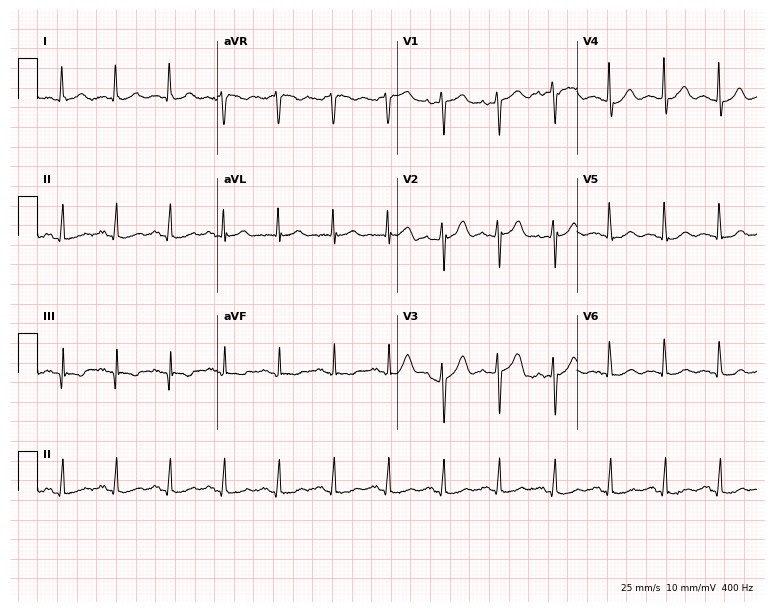
Resting 12-lead electrocardiogram. Patient: a male, 51 years old. The tracing shows sinus tachycardia (a sinus rate of 100 beats per minute or more).